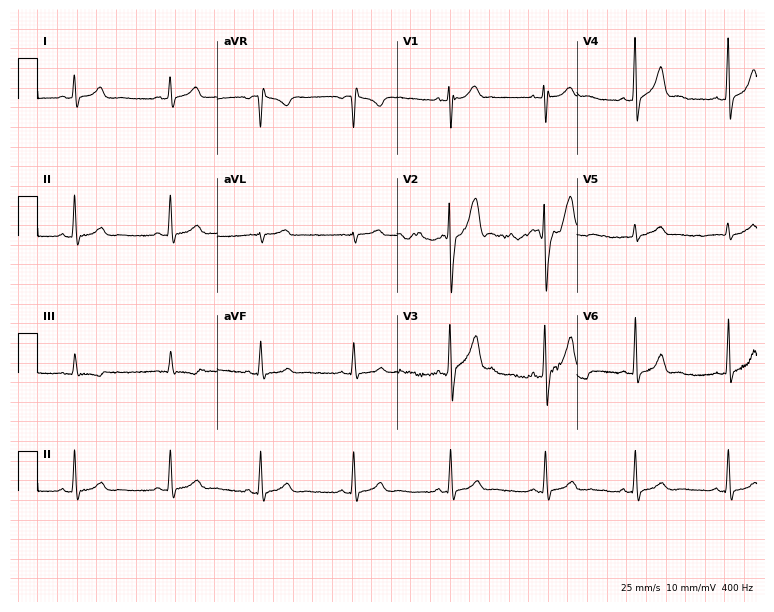
Resting 12-lead electrocardiogram (7.3-second recording at 400 Hz). Patient: a man, 21 years old. None of these six findings is recorded: first-degree AV block, right bundle branch block, left bundle branch block, sinus bradycardia, atrial fibrillation, sinus tachycardia.